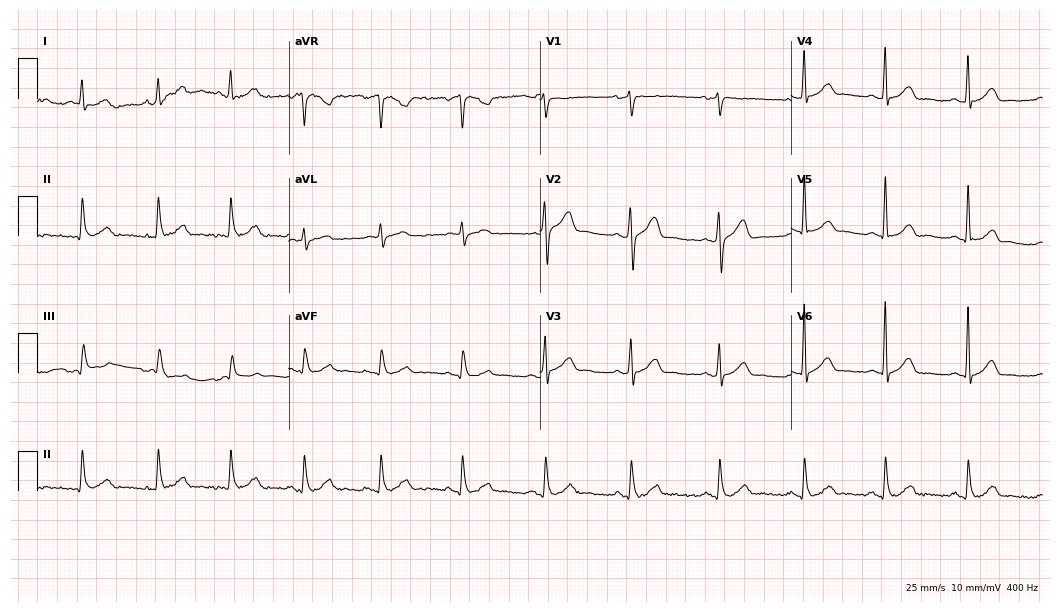
12-lead ECG from a male patient, 36 years old. Screened for six findings — first-degree AV block, right bundle branch block, left bundle branch block, sinus bradycardia, atrial fibrillation, sinus tachycardia — none is recorded. Findings outside these six are not listed.